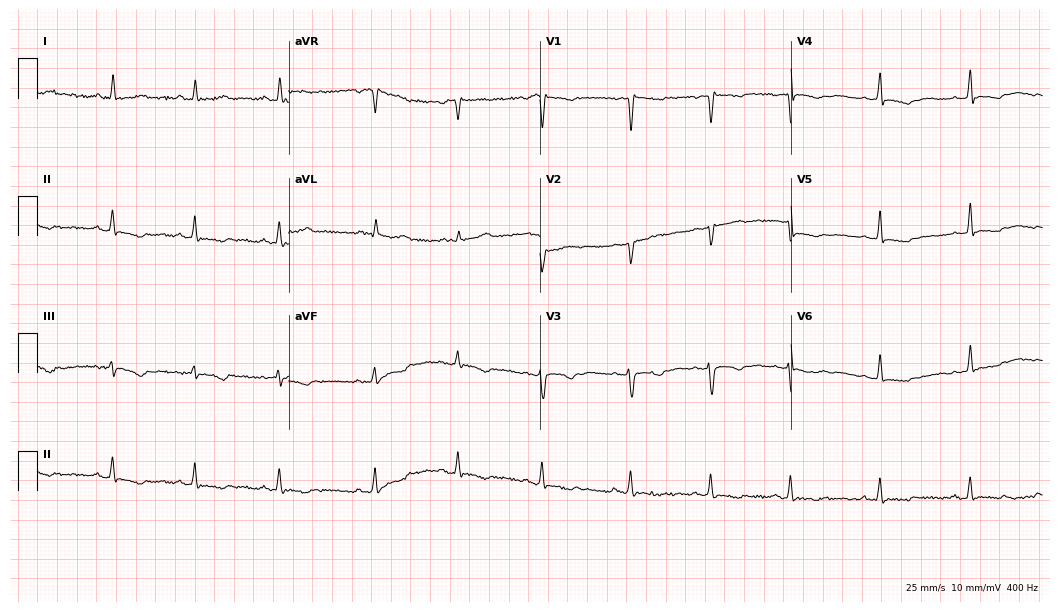
12-lead ECG from a female, 39 years old (10.2-second recording at 400 Hz). No first-degree AV block, right bundle branch block, left bundle branch block, sinus bradycardia, atrial fibrillation or sinus tachycardia recorded for this tracing.